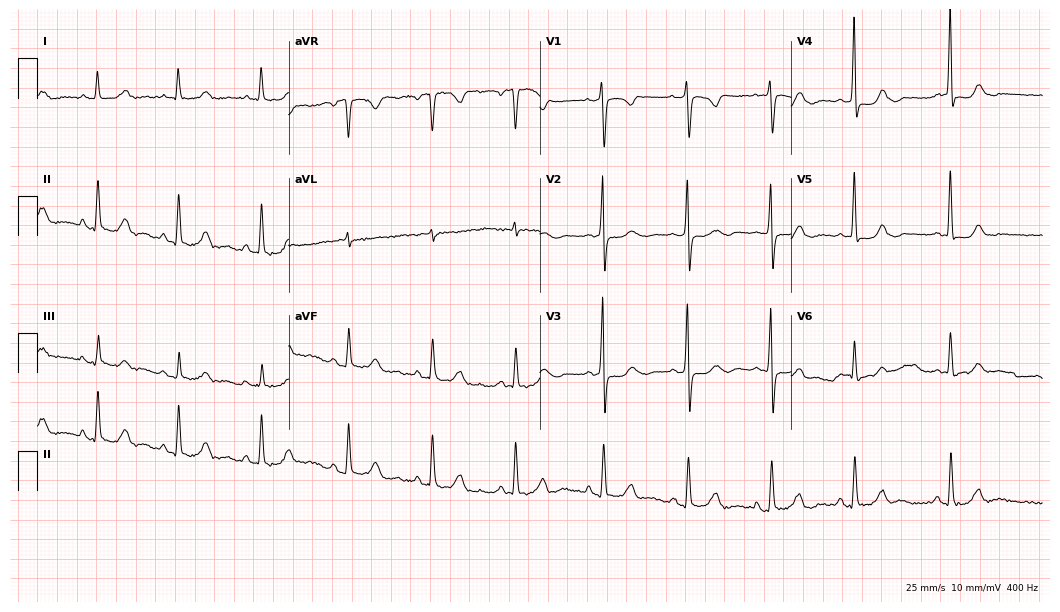
Electrocardiogram (10.2-second recording at 400 Hz), a 64-year-old female. Overall reading on record: normal ECG.